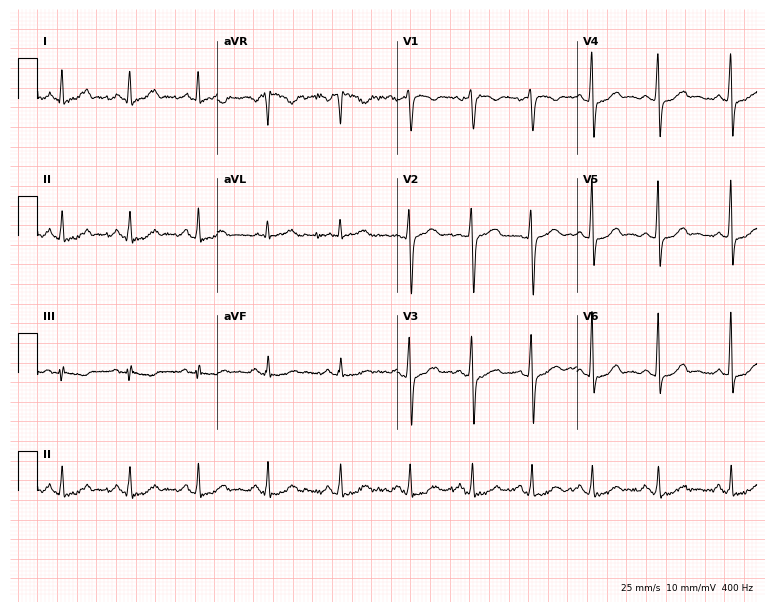
Standard 12-lead ECG recorded from a female, 48 years old (7.3-second recording at 400 Hz). Read as a normal ECG.